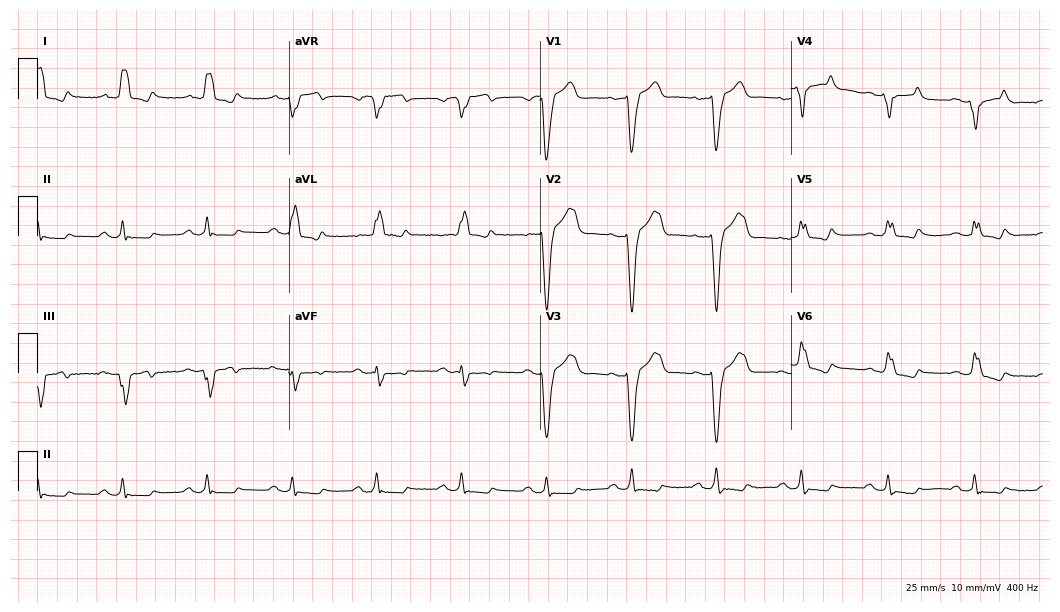
Standard 12-lead ECG recorded from a male patient, 69 years old (10.2-second recording at 400 Hz). None of these six findings is recorded: first-degree AV block, right bundle branch block, left bundle branch block, sinus bradycardia, atrial fibrillation, sinus tachycardia. Findings outside these six are not listed.